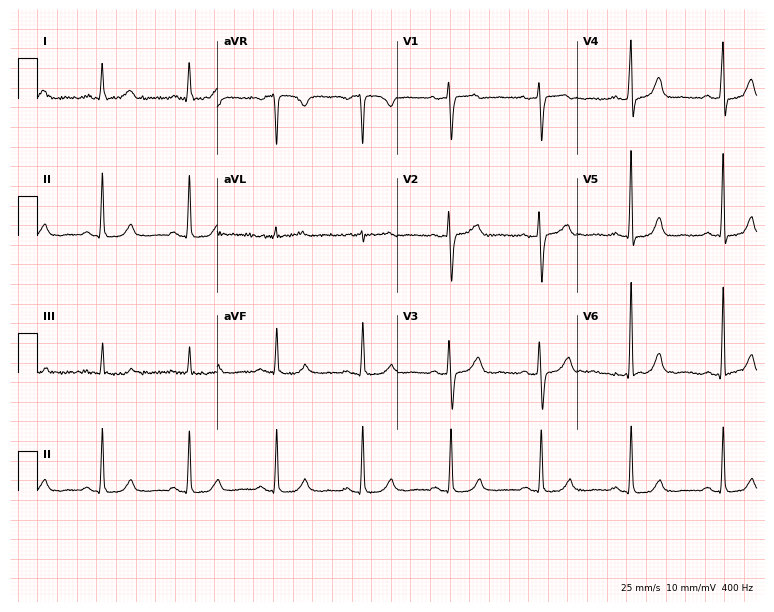
12-lead ECG from a 67-year-old female. Labelled as a normal ECG.